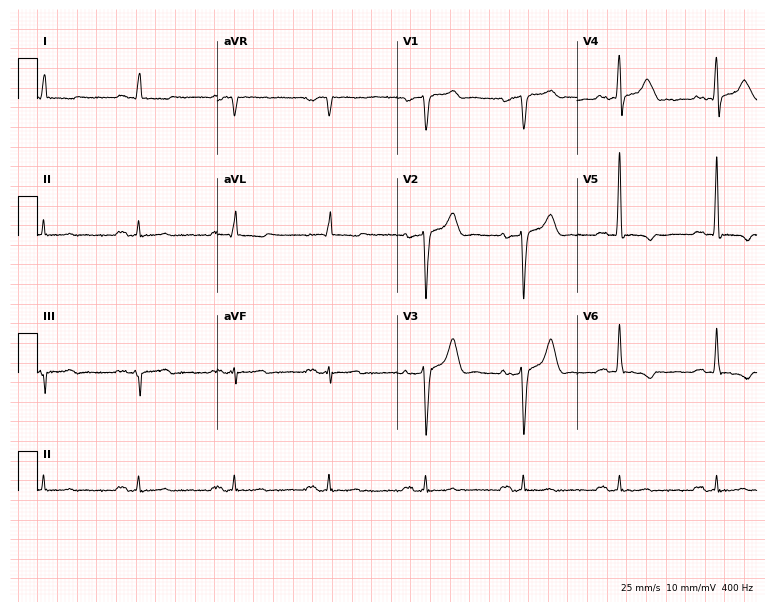
Resting 12-lead electrocardiogram. Patient: a male, 71 years old. None of these six findings is recorded: first-degree AV block, right bundle branch block, left bundle branch block, sinus bradycardia, atrial fibrillation, sinus tachycardia.